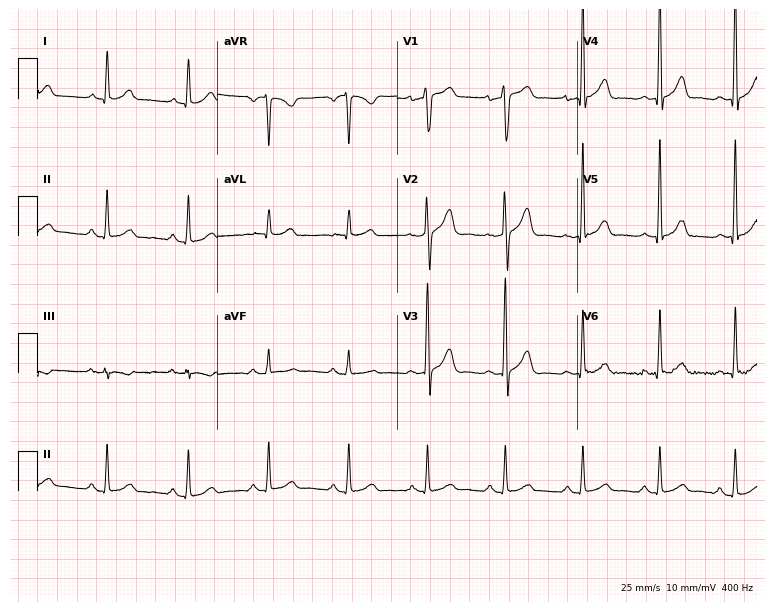
Resting 12-lead electrocardiogram. Patient: a 49-year-old male. None of these six findings is recorded: first-degree AV block, right bundle branch block, left bundle branch block, sinus bradycardia, atrial fibrillation, sinus tachycardia.